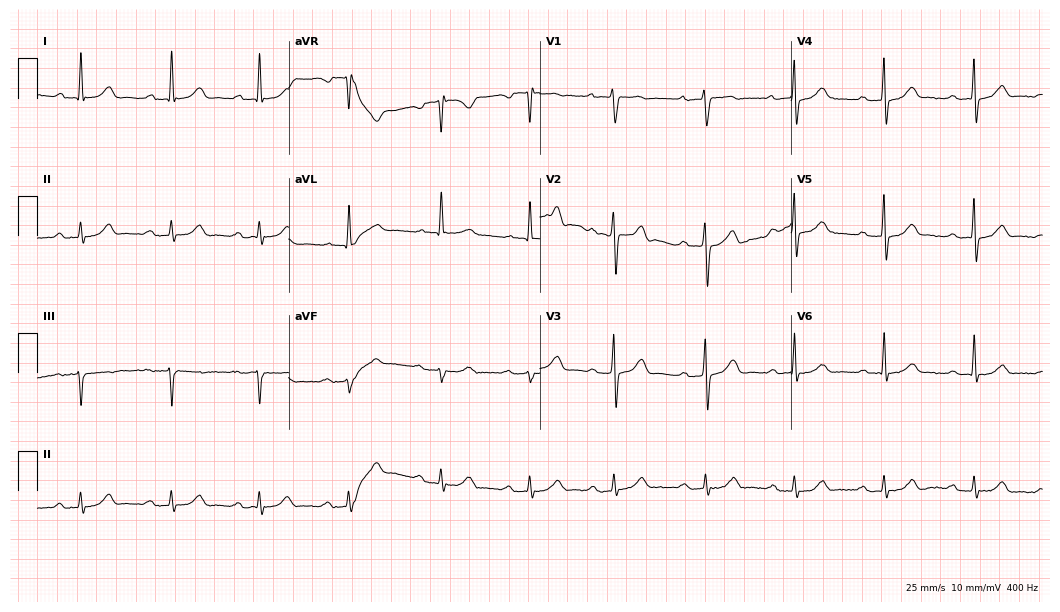
Electrocardiogram, a 57-year-old man. Interpretation includes first-degree AV block.